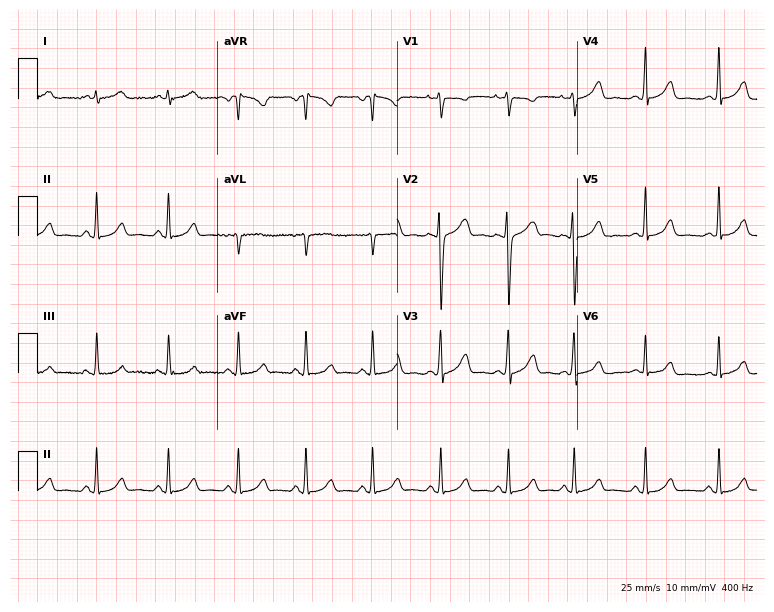
Resting 12-lead electrocardiogram. Patient: a woman, 28 years old. None of these six findings is recorded: first-degree AV block, right bundle branch block, left bundle branch block, sinus bradycardia, atrial fibrillation, sinus tachycardia. Other findings, if any, are not listed.